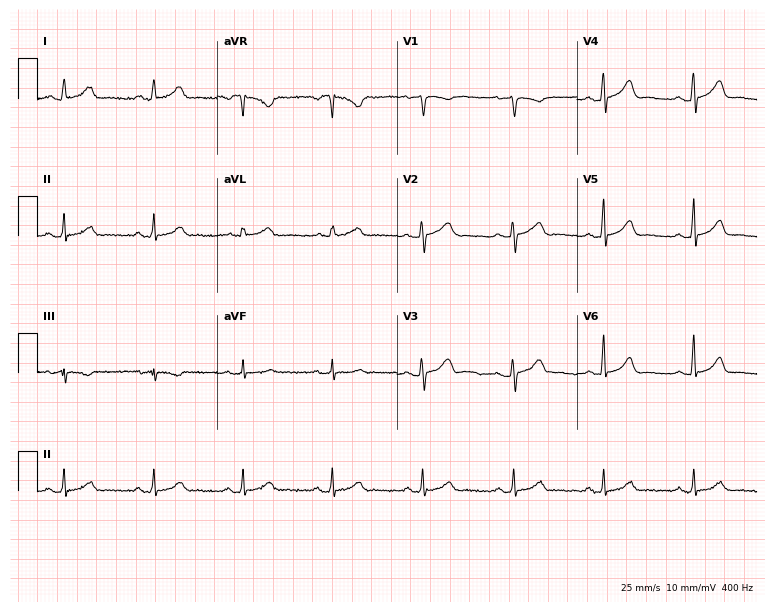
12-lead ECG from a female, 41 years old. No first-degree AV block, right bundle branch block, left bundle branch block, sinus bradycardia, atrial fibrillation or sinus tachycardia recorded for this tracing.